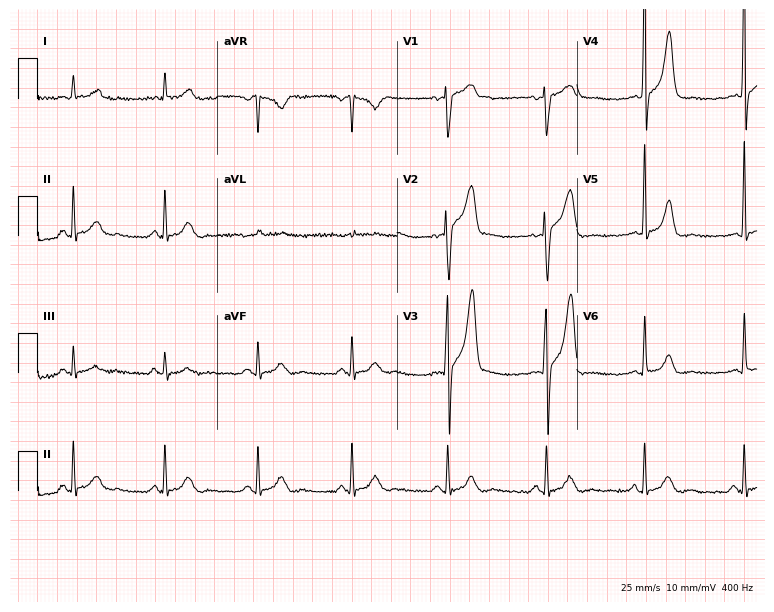
ECG — a 60-year-old male patient. Screened for six findings — first-degree AV block, right bundle branch block, left bundle branch block, sinus bradycardia, atrial fibrillation, sinus tachycardia — none is recorded. Other findings, if any, are not listed.